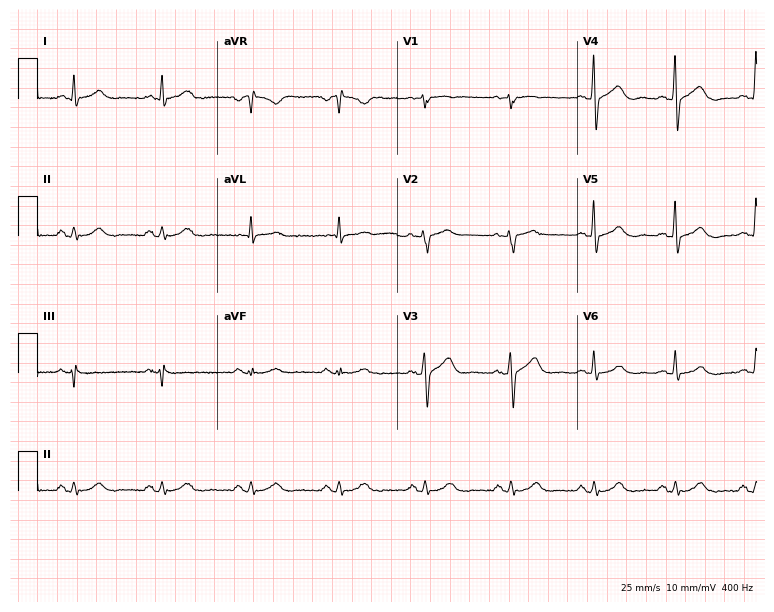
ECG (7.3-second recording at 400 Hz) — a male, 54 years old. Screened for six findings — first-degree AV block, right bundle branch block, left bundle branch block, sinus bradycardia, atrial fibrillation, sinus tachycardia — none is recorded.